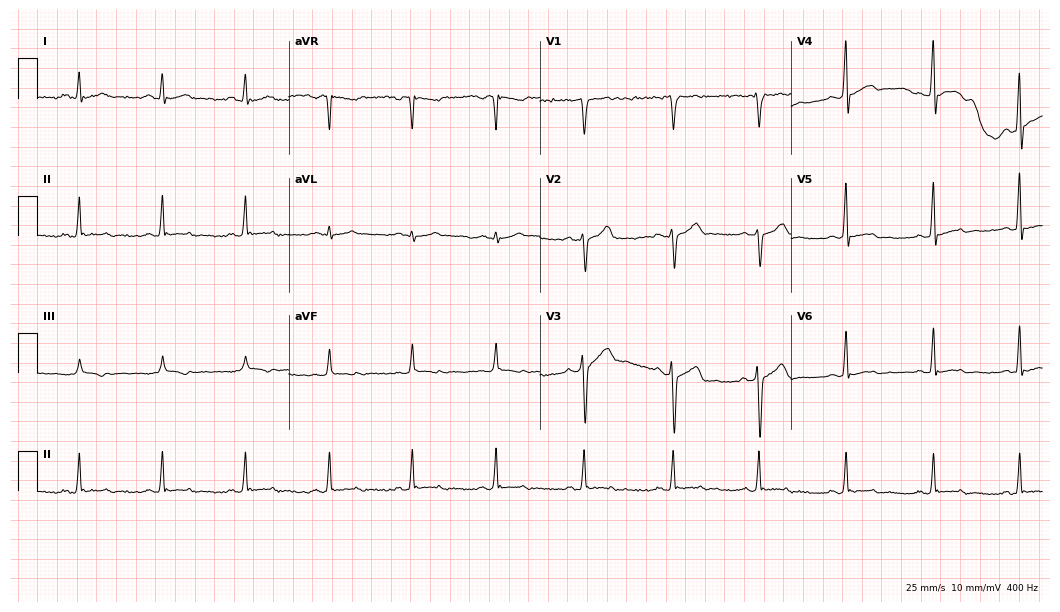
Electrocardiogram (10.2-second recording at 400 Hz), a 46-year-old man. Of the six screened findings (first-degree AV block, right bundle branch block (RBBB), left bundle branch block (LBBB), sinus bradycardia, atrial fibrillation (AF), sinus tachycardia), none is recorded. Other findings, if any, are not listed.